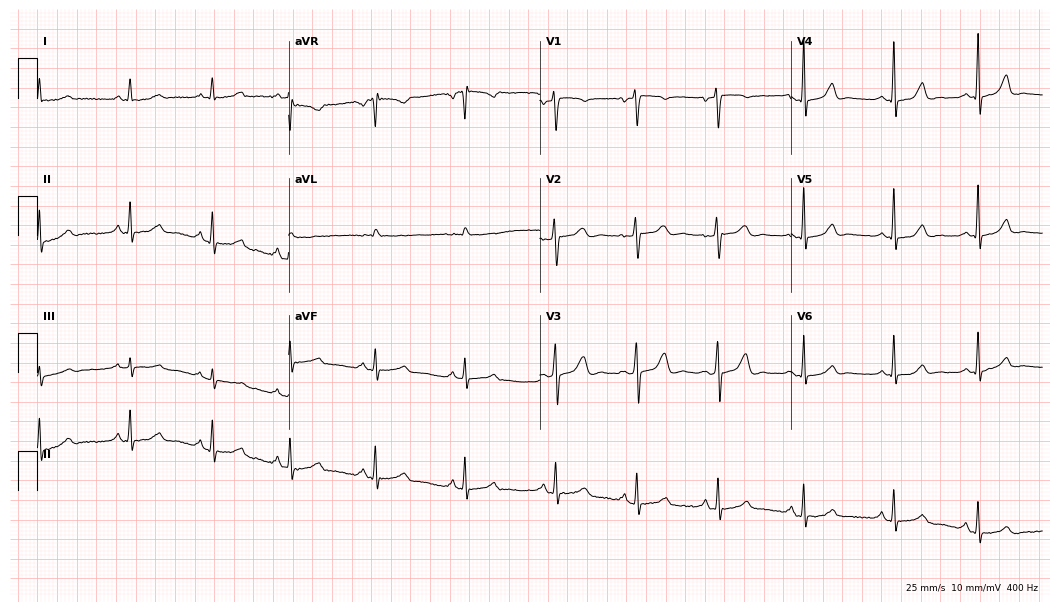
Standard 12-lead ECG recorded from a 38-year-old female patient (10.2-second recording at 400 Hz). None of these six findings is recorded: first-degree AV block, right bundle branch block, left bundle branch block, sinus bradycardia, atrial fibrillation, sinus tachycardia. Findings outside these six are not listed.